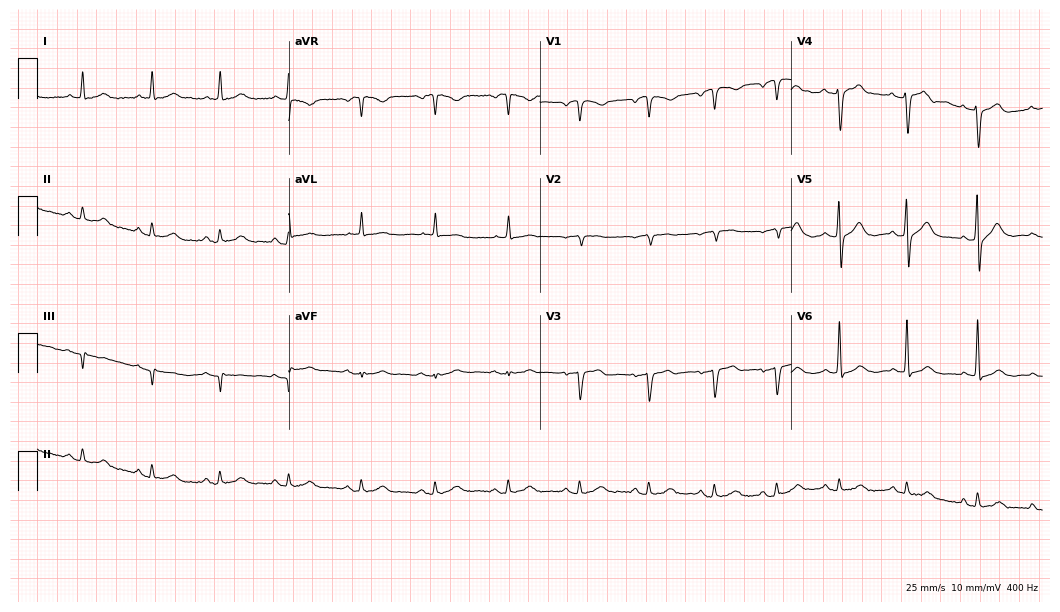
12-lead ECG from a 69-year-old male patient. No first-degree AV block, right bundle branch block, left bundle branch block, sinus bradycardia, atrial fibrillation or sinus tachycardia recorded for this tracing. Only these six findings were labelled.